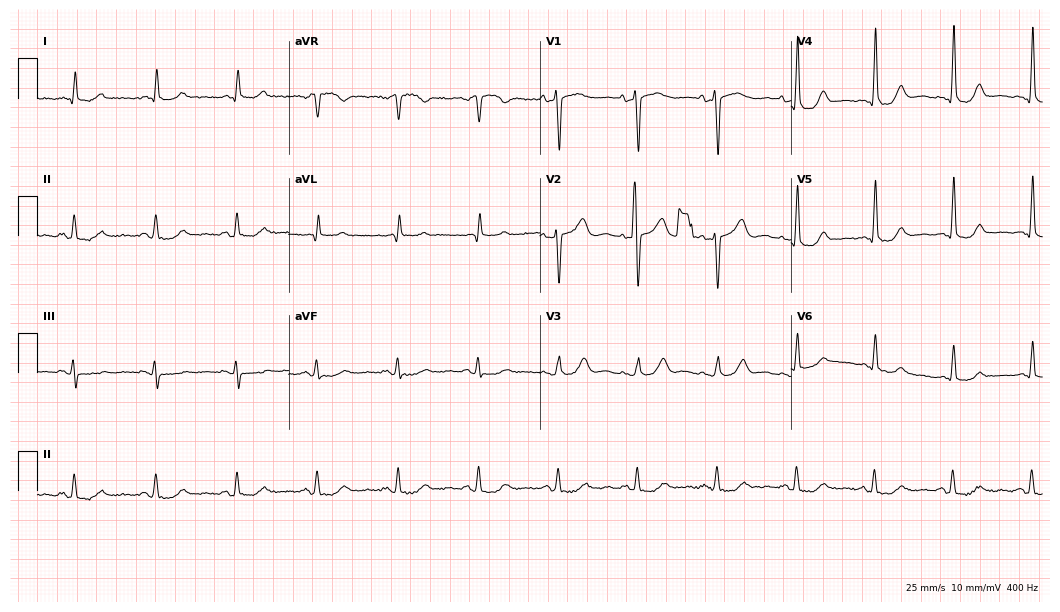
Resting 12-lead electrocardiogram (10.2-second recording at 400 Hz). Patient: a woman, 64 years old. None of these six findings is recorded: first-degree AV block, right bundle branch block, left bundle branch block, sinus bradycardia, atrial fibrillation, sinus tachycardia. Findings outside these six are not listed.